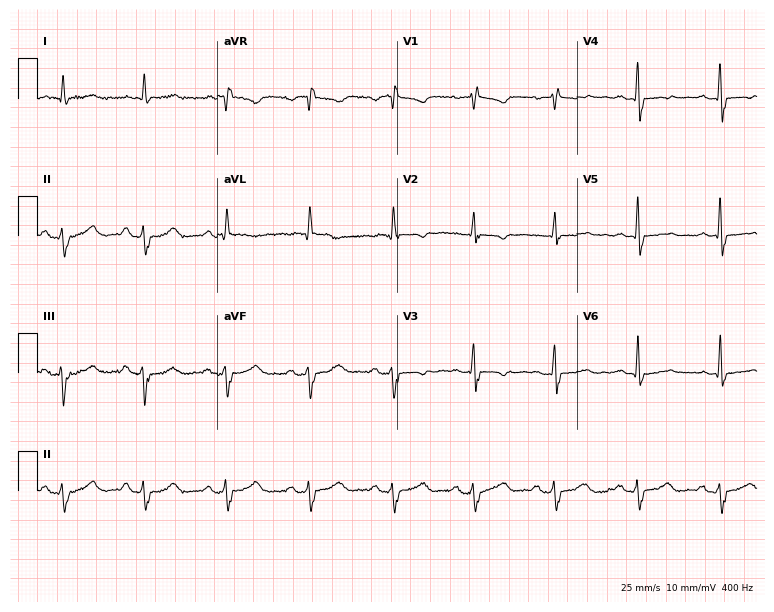
12-lead ECG from a female, 82 years old. No first-degree AV block, right bundle branch block, left bundle branch block, sinus bradycardia, atrial fibrillation or sinus tachycardia recorded for this tracing.